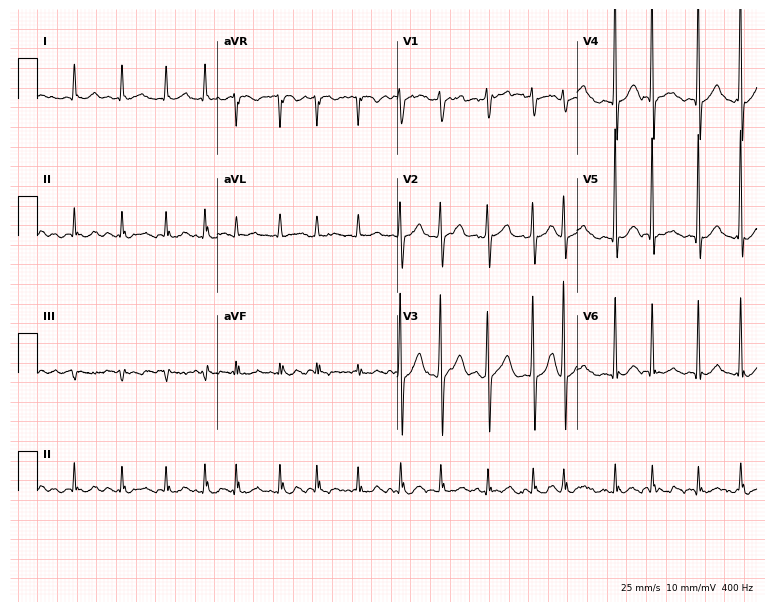
12-lead ECG from an 82-year-old male (7.3-second recording at 400 Hz). Shows atrial fibrillation.